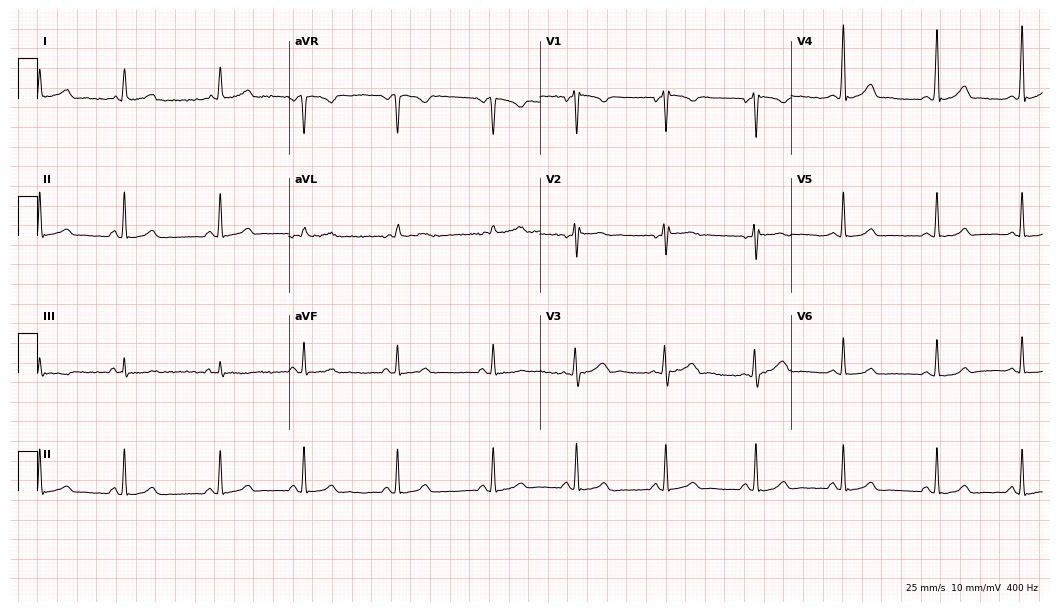
Resting 12-lead electrocardiogram. Patient: a 24-year-old female. None of these six findings is recorded: first-degree AV block, right bundle branch block (RBBB), left bundle branch block (LBBB), sinus bradycardia, atrial fibrillation (AF), sinus tachycardia. Only these six findings were labelled.